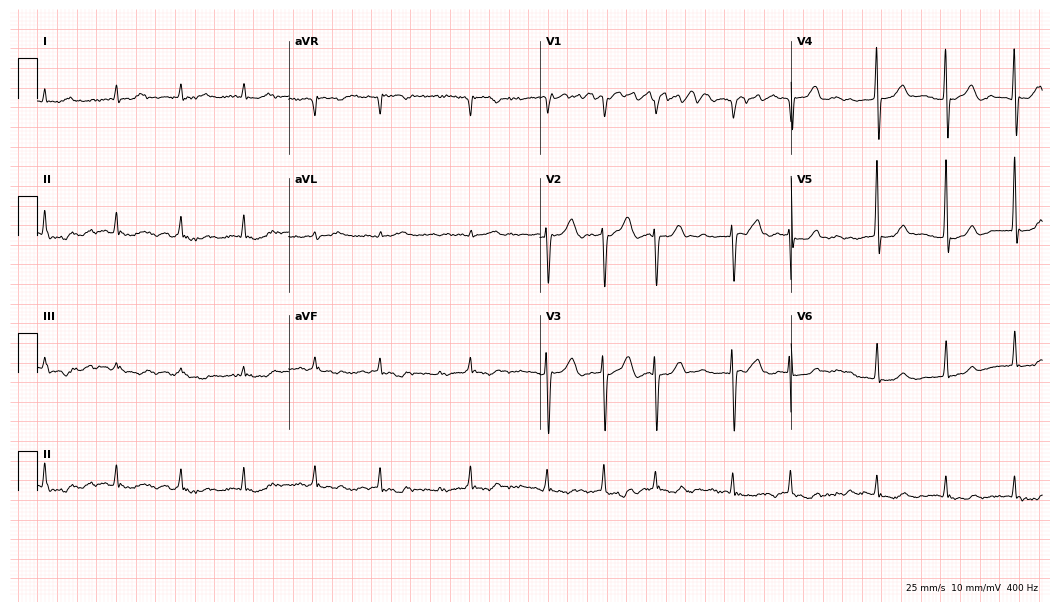
ECG — a 75-year-old female. Screened for six findings — first-degree AV block, right bundle branch block (RBBB), left bundle branch block (LBBB), sinus bradycardia, atrial fibrillation (AF), sinus tachycardia — none is recorded. Other findings, if any, are not listed.